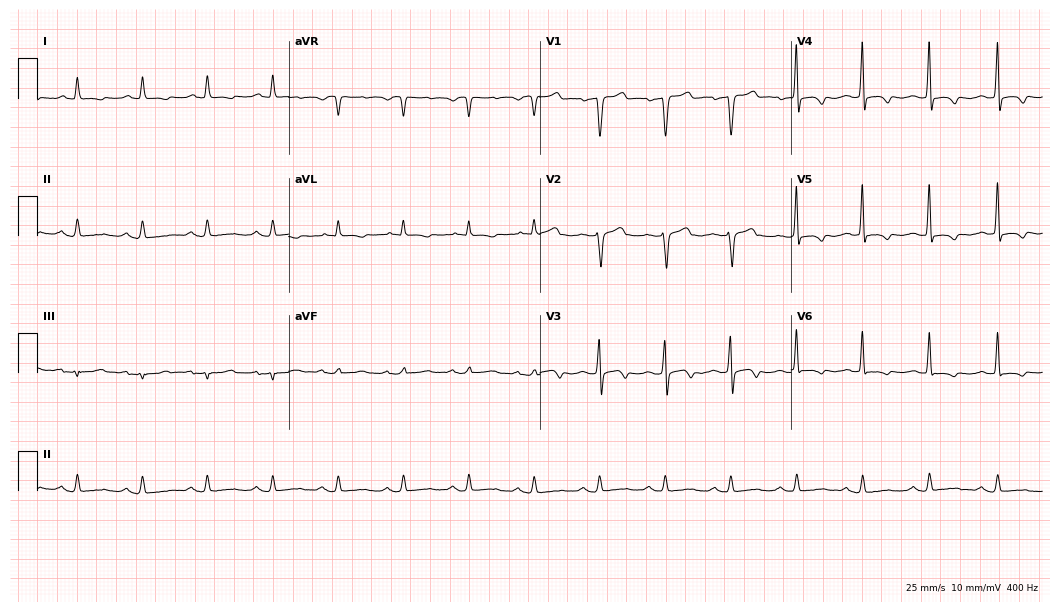
Standard 12-lead ECG recorded from a man, 58 years old. None of these six findings is recorded: first-degree AV block, right bundle branch block (RBBB), left bundle branch block (LBBB), sinus bradycardia, atrial fibrillation (AF), sinus tachycardia. Findings outside these six are not listed.